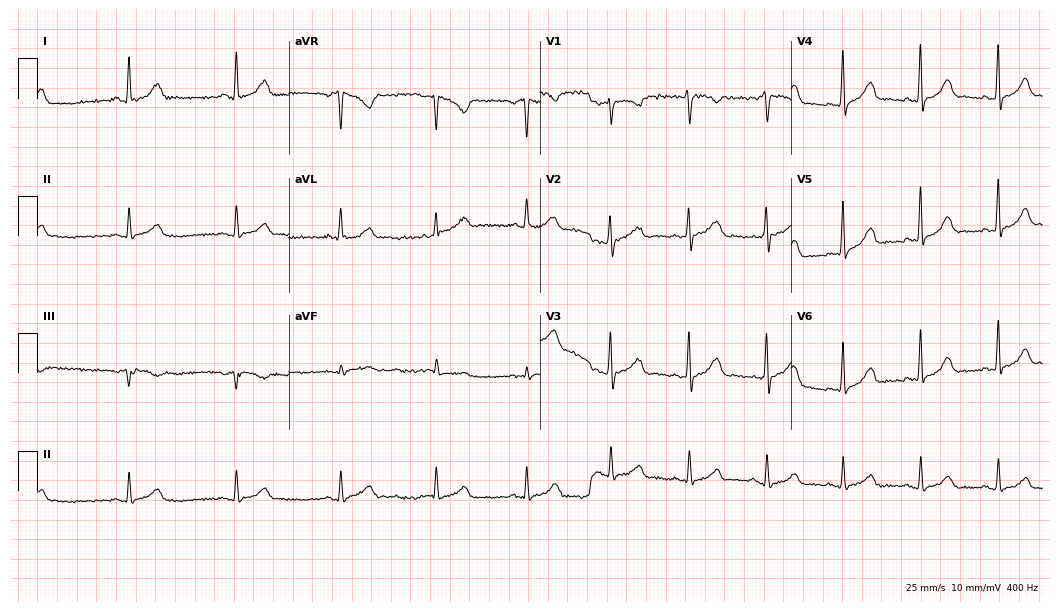
Standard 12-lead ECG recorded from a woman, 30 years old (10.2-second recording at 400 Hz). None of these six findings is recorded: first-degree AV block, right bundle branch block (RBBB), left bundle branch block (LBBB), sinus bradycardia, atrial fibrillation (AF), sinus tachycardia.